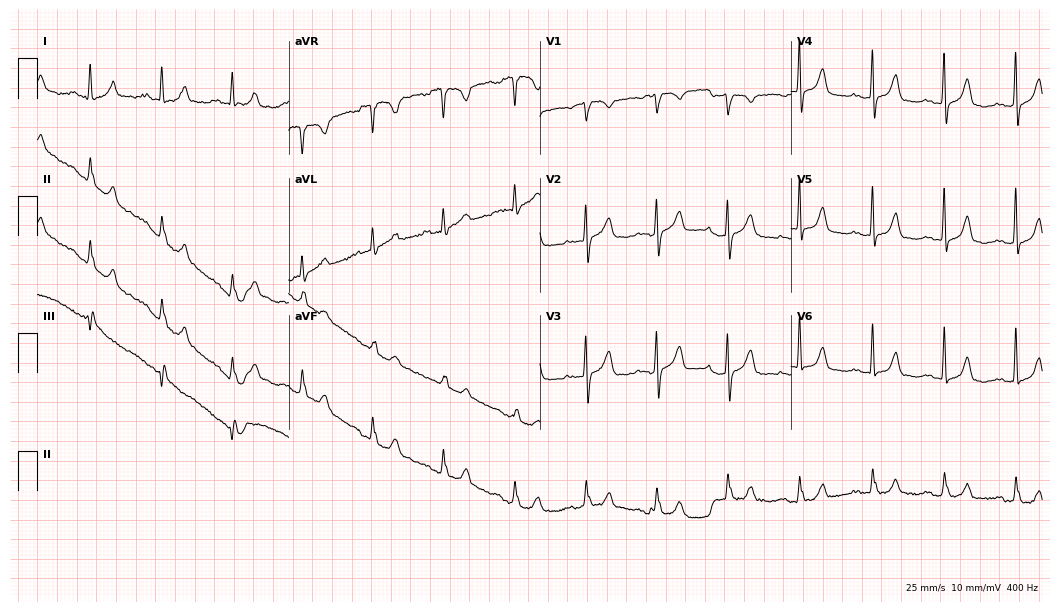
12-lead ECG from a 74-year-old female. No first-degree AV block, right bundle branch block (RBBB), left bundle branch block (LBBB), sinus bradycardia, atrial fibrillation (AF) or sinus tachycardia recorded for this tracing. Findings outside these six are not listed.